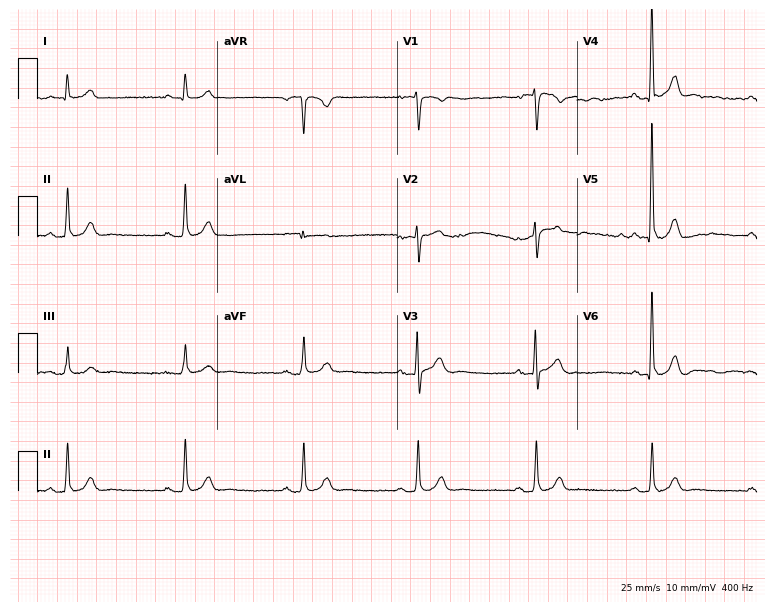
Electrocardiogram, an 82-year-old male patient. Interpretation includes sinus bradycardia (a sinus rate of 50 beats per minute or less).